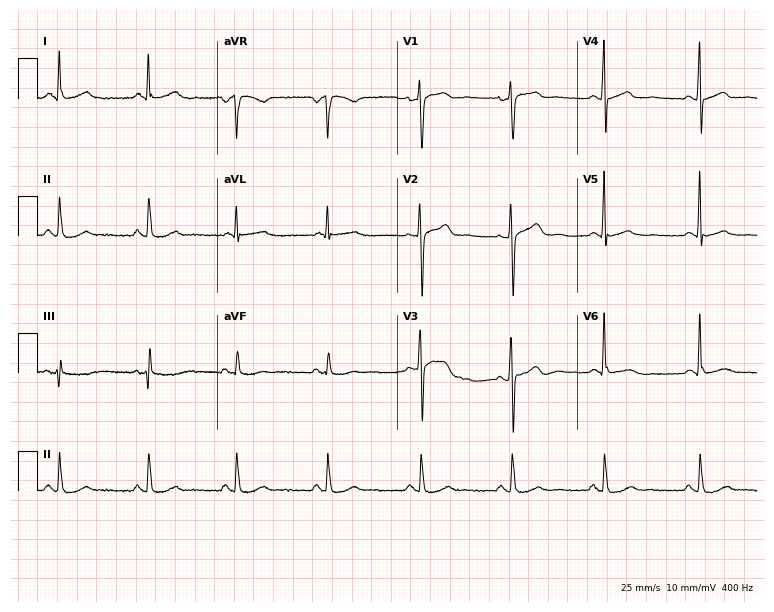
Resting 12-lead electrocardiogram (7.3-second recording at 400 Hz). Patient: a 62-year-old female. None of these six findings is recorded: first-degree AV block, right bundle branch block, left bundle branch block, sinus bradycardia, atrial fibrillation, sinus tachycardia.